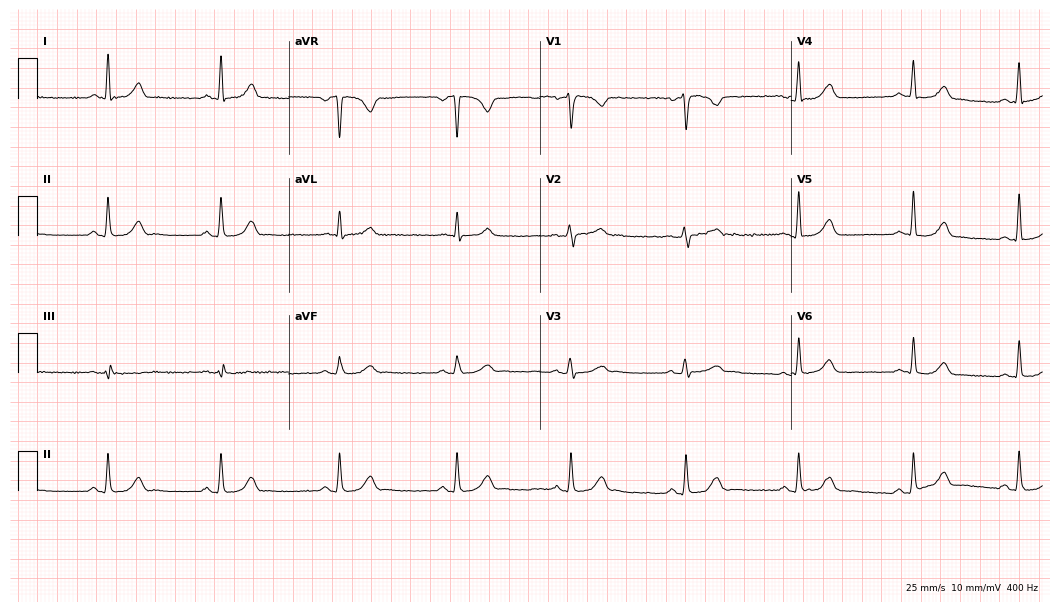
Electrocardiogram (10.2-second recording at 400 Hz), a woman, 40 years old. Of the six screened findings (first-degree AV block, right bundle branch block, left bundle branch block, sinus bradycardia, atrial fibrillation, sinus tachycardia), none is recorded.